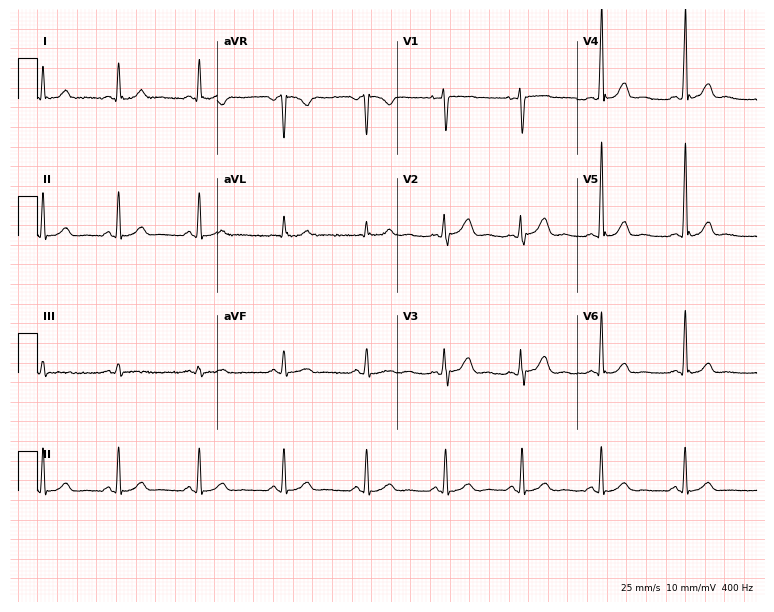
12-lead ECG from a man, 39 years old. No first-degree AV block, right bundle branch block, left bundle branch block, sinus bradycardia, atrial fibrillation or sinus tachycardia recorded for this tracing. Findings outside these six are not listed.